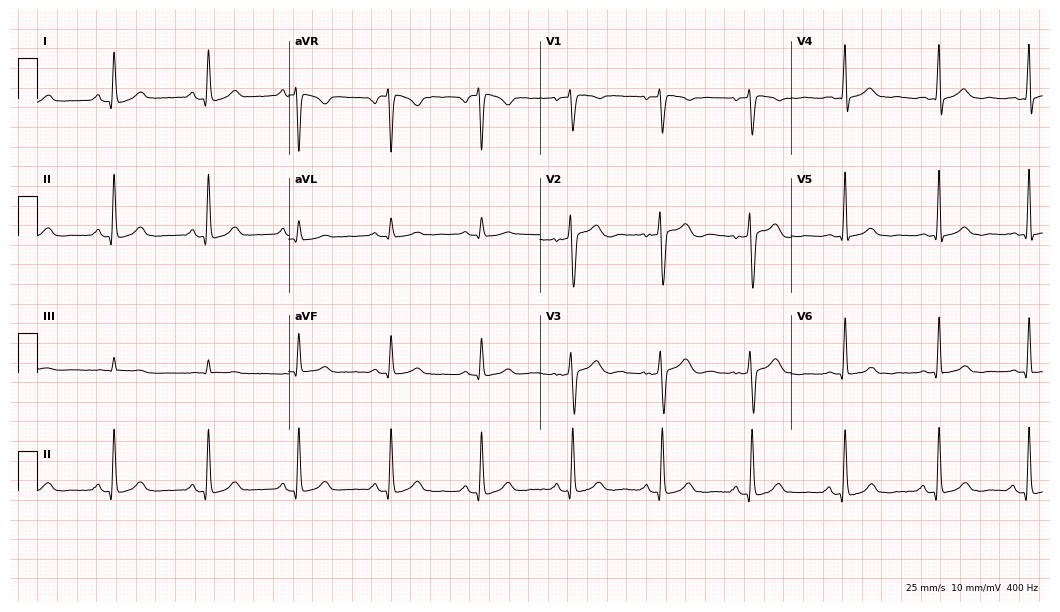
Resting 12-lead electrocardiogram (10.2-second recording at 400 Hz). Patient: a 43-year-old woman. Read as a normal ECG.